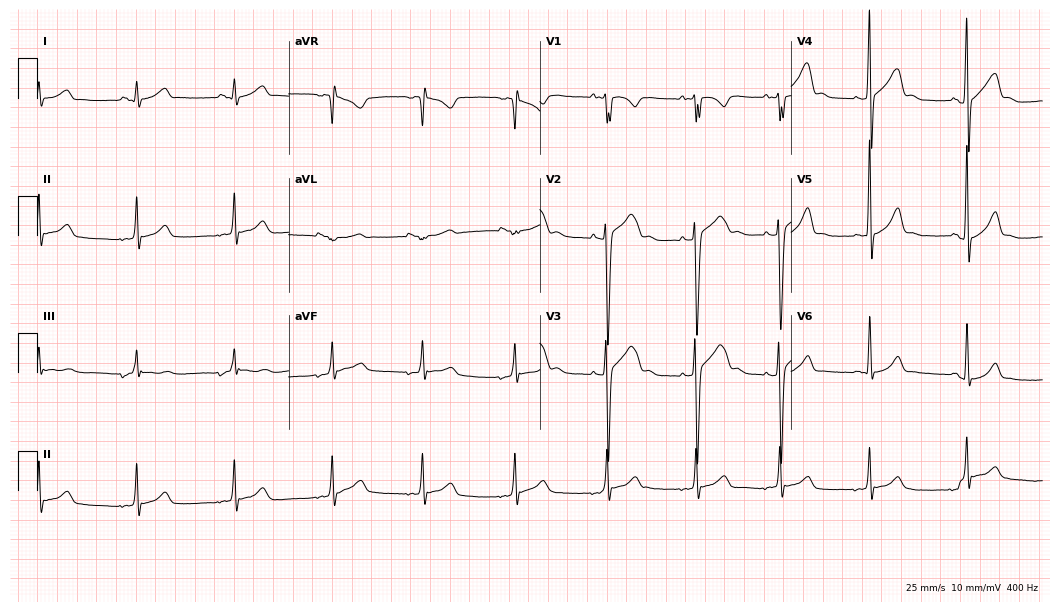
Standard 12-lead ECG recorded from a 19-year-old male. Read as a normal ECG.